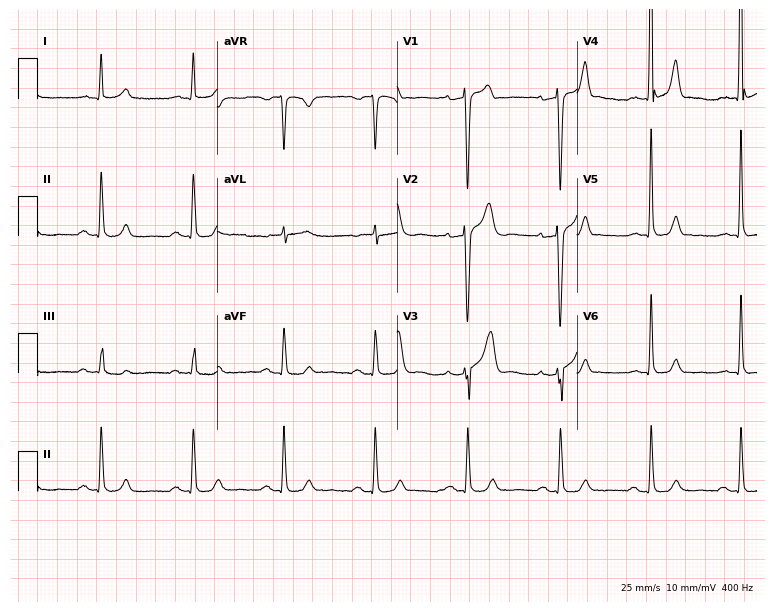
Standard 12-lead ECG recorded from a male patient, 65 years old (7.3-second recording at 400 Hz). Read as a normal ECG.